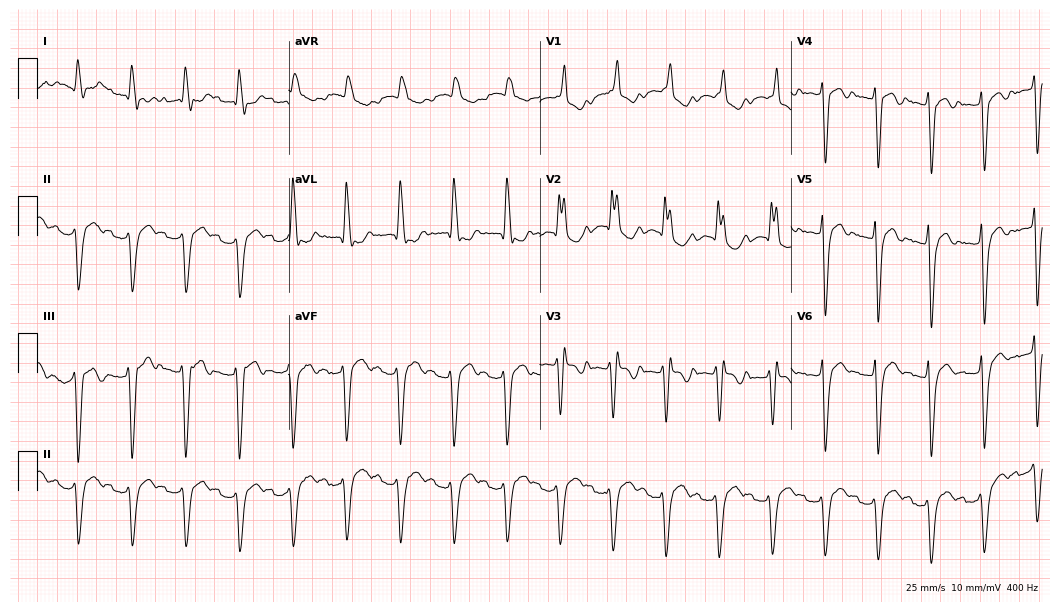
Resting 12-lead electrocardiogram (10.2-second recording at 400 Hz). Patient: a woman, 74 years old. The tracing shows first-degree AV block, right bundle branch block, sinus tachycardia (a sinus rate of 100 beats per minute or more).